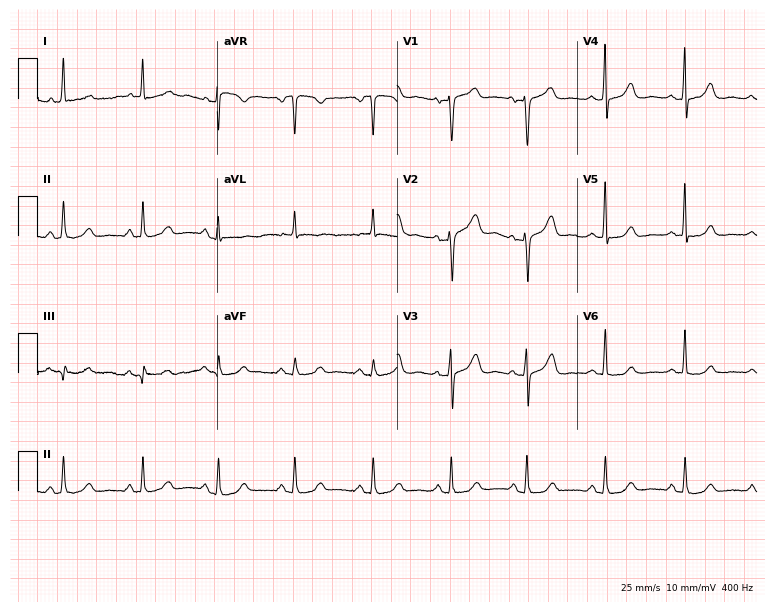
Resting 12-lead electrocardiogram. Patient: a female, 71 years old. None of these six findings is recorded: first-degree AV block, right bundle branch block, left bundle branch block, sinus bradycardia, atrial fibrillation, sinus tachycardia. Only these six findings were labelled.